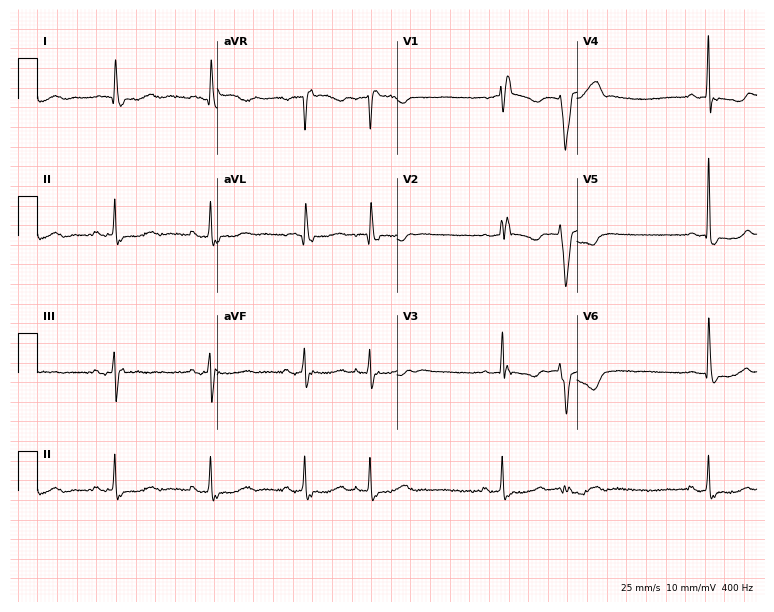
ECG (7.3-second recording at 400 Hz) — an 83-year-old female patient. Findings include right bundle branch block.